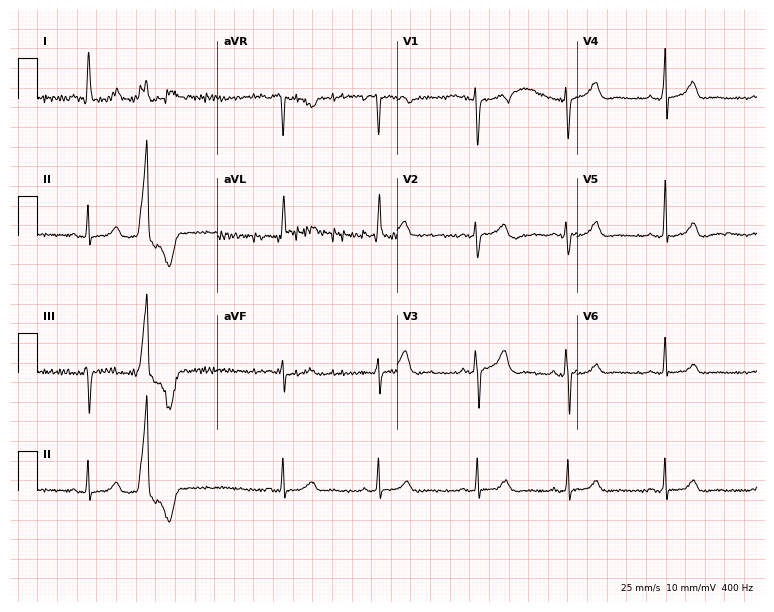
ECG (7.3-second recording at 400 Hz) — a 50-year-old female patient. Screened for six findings — first-degree AV block, right bundle branch block, left bundle branch block, sinus bradycardia, atrial fibrillation, sinus tachycardia — none is recorded. Other findings, if any, are not listed.